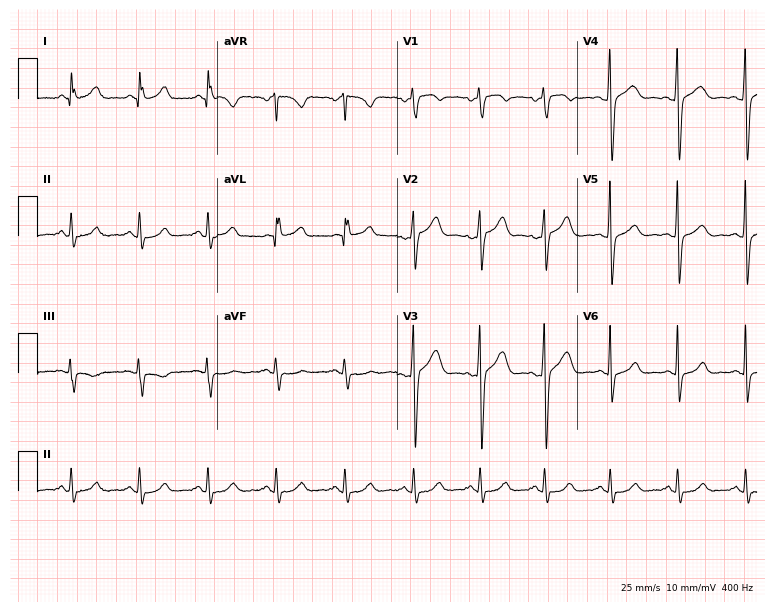
Standard 12-lead ECG recorded from a 41-year-old male patient (7.3-second recording at 400 Hz). Read as a normal ECG.